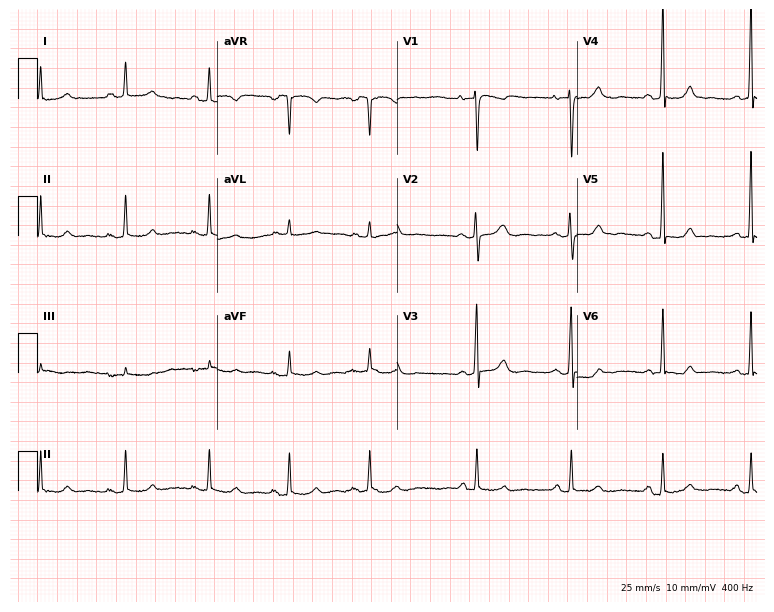
ECG (7.3-second recording at 400 Hz) — a 56-year-old woman. Screened for six findings — first-degree AV block, right bundle branch block (RBBB), left bundle branch block (LBBB), sinus bradycardia, atrial fibrillation (AF), sinus tachycardia — none is recorded.